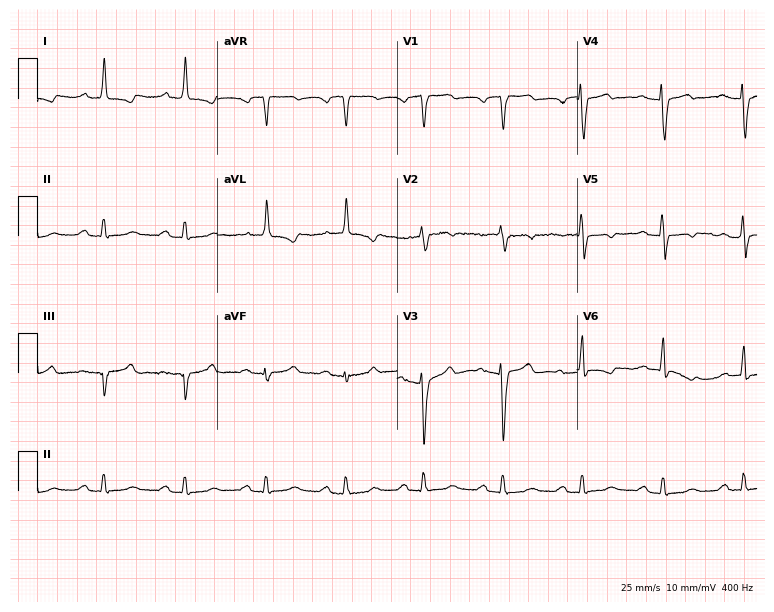
12-lead ECG from a female patient, 83 years old. Shows first-degree AV block.